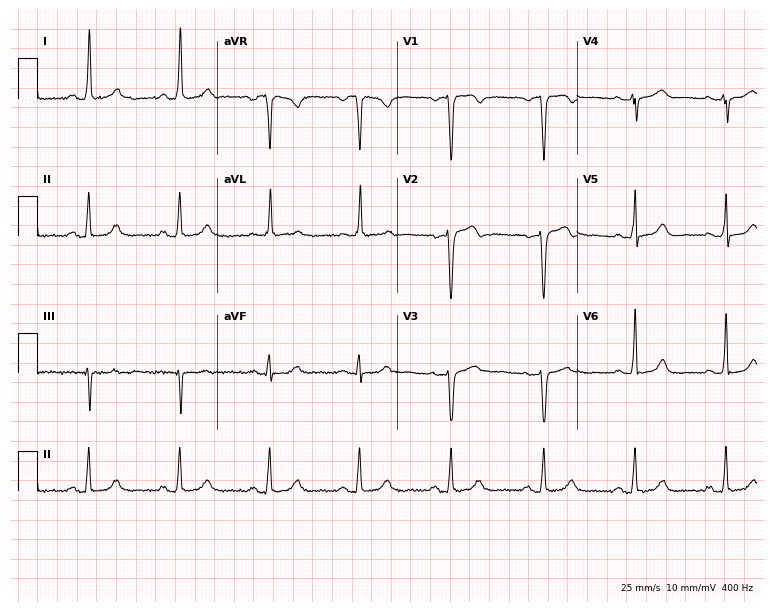
Resting 12-lead electrocardiogram (7.3-second recording at 400 Hz). Patient: a woman, 63 years old. Read as a normal ECG.